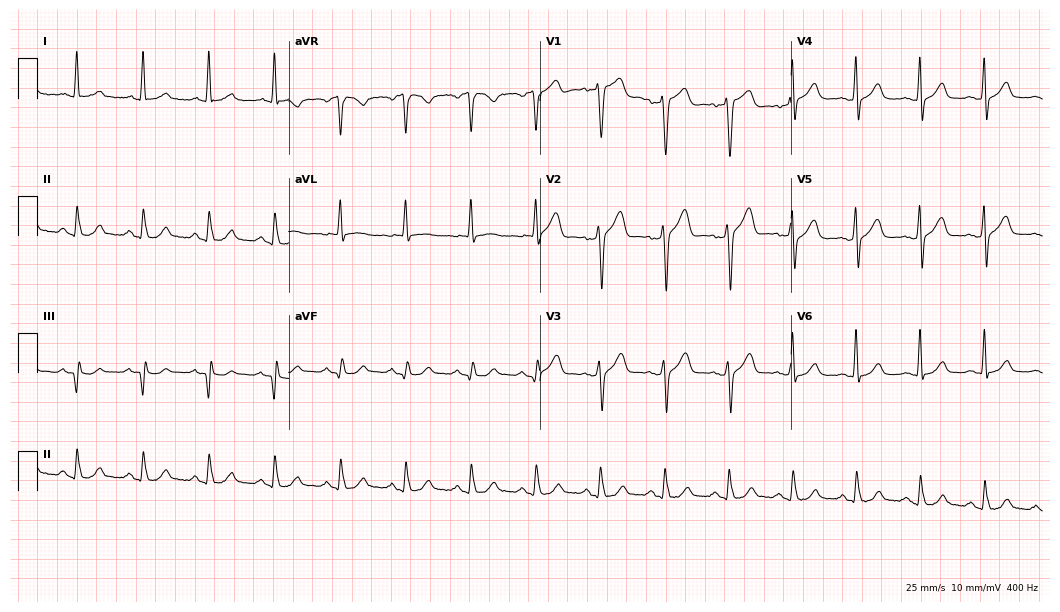
ECG — a 57-year-old male patient. Screened for six findings — first-degree AV block, right bundle branch block, left bundle branch block, sinus bradycardia, atrial fibrillation, sinus tachycardia — none is recorded. Only these six findings were labelled.